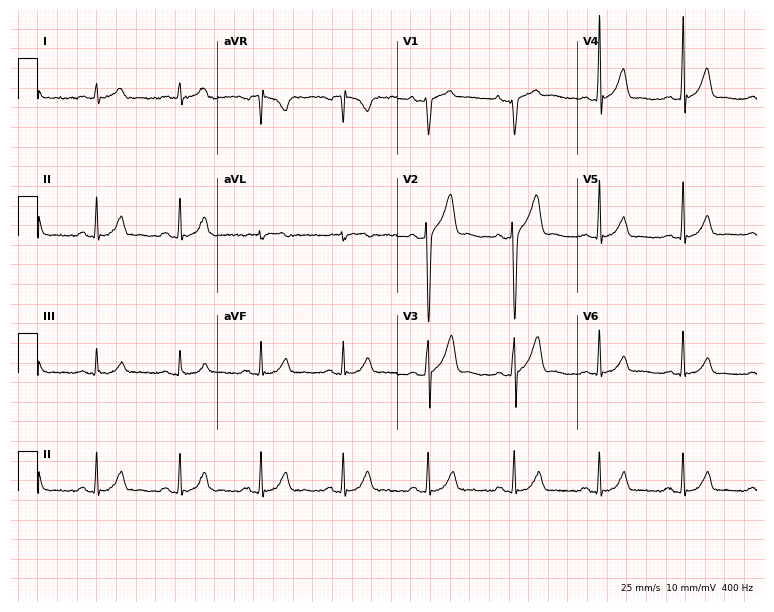
ECG (7.3-second recording at 400 Hz) — a 45-year-old man. Labelled as a normal ECG.